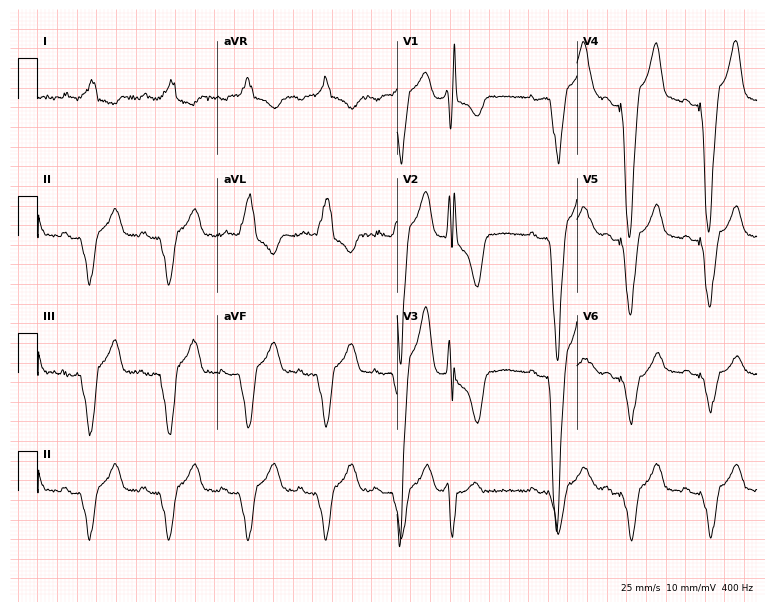
12-lead ECG from a female patient, 70 years old (7.3-second recording at 400 Hz). No first-degree AV block, right bundle branch block (RBBB), left bundle branch block (LBBB), sinus bradycardia, atrial fibrillation (AF) or sinus tachycardia recorded for this tracing. Other findings, if any, are not listed.